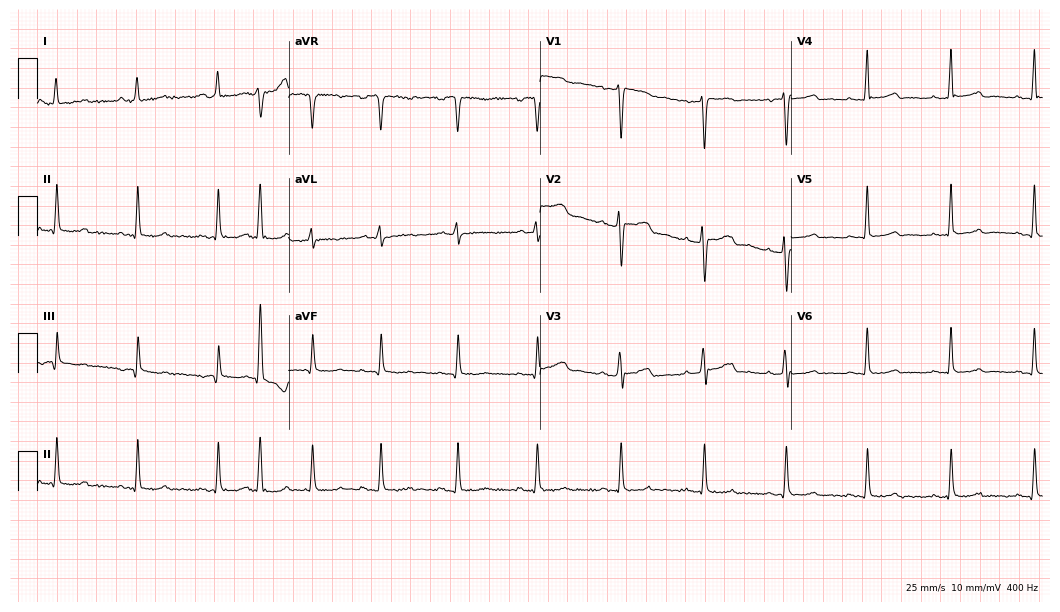
Resting 12-lead electrocardiogram. Patient: a female, 52 years old. None of these six findings is recorded: first-degree AV block, right bundle branch block, left bundle branch block, sinus bradycardia, atrial fibrillation, sinus tachycardia.